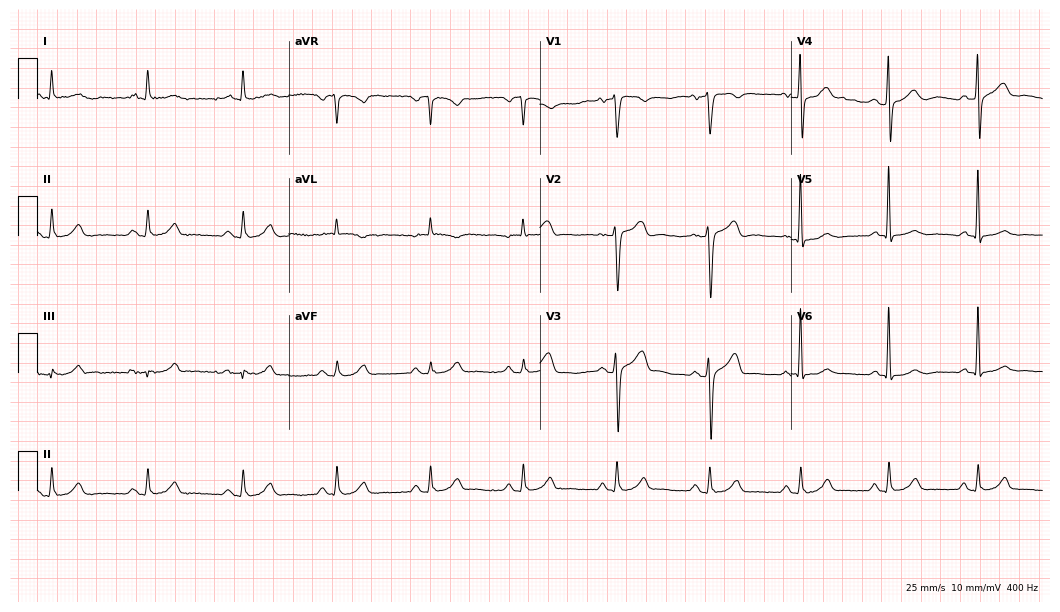
ECG — a 67-year-old male patient. Labelled as a normal ECG.